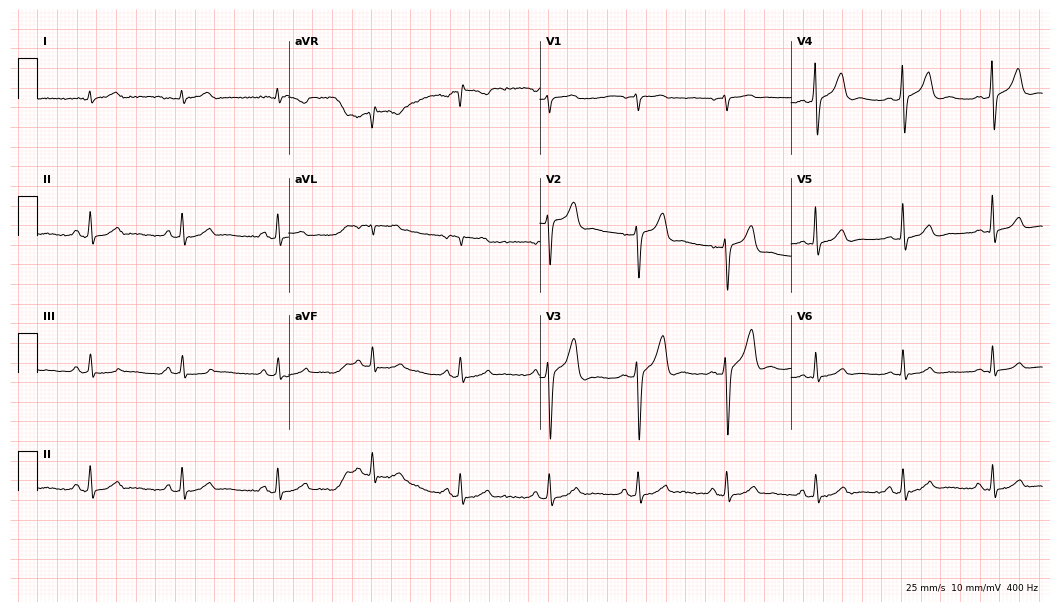
Resting 12-lead electrocardiogram (10.2-second recording at 400 Hz). Patient: a male, 33 years old. Read as a normal ECG.